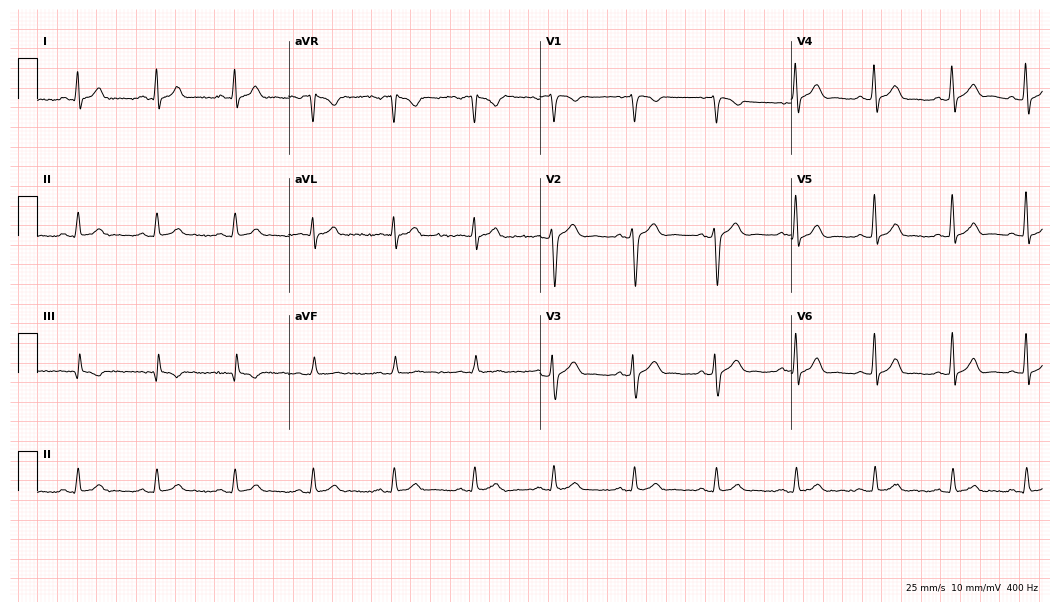
ECG (10.2-second recording at 400 Hz) — a man, 29 years old. Labelled as a normal ECG.